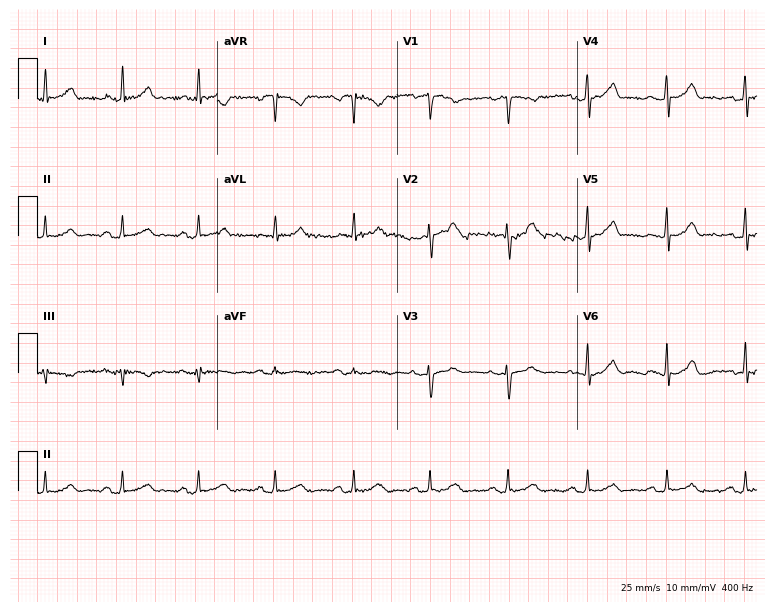
12-lead ECG from a 35-year-old female. Labelled as a normal ECG.